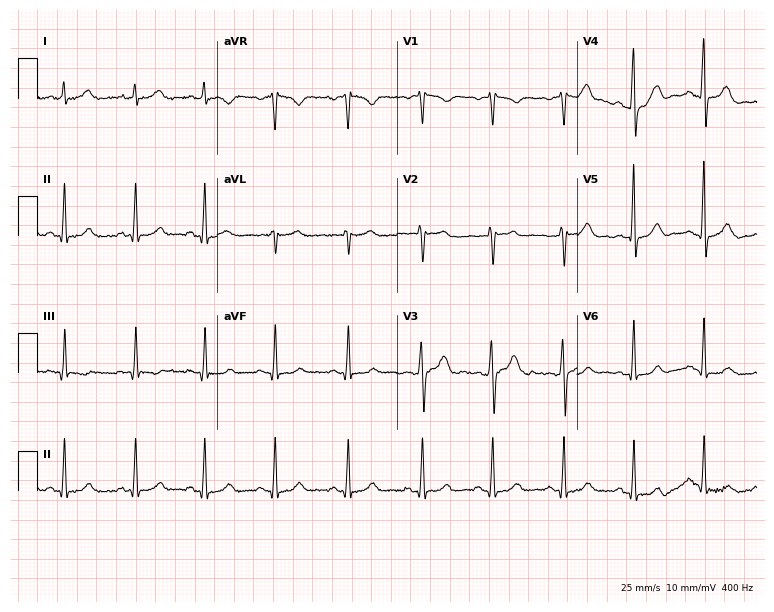
Standard 12-lead ECG recorded from a 38-year-old man (7.3-second recording at 400 Hz). None of these six findings is recorded: first-degree AV block, right bundle branch block (RBBB), left bundle branch block (LBBB), sinus bradycardia, atrial fibrillation (AF), sinus tachycardia.